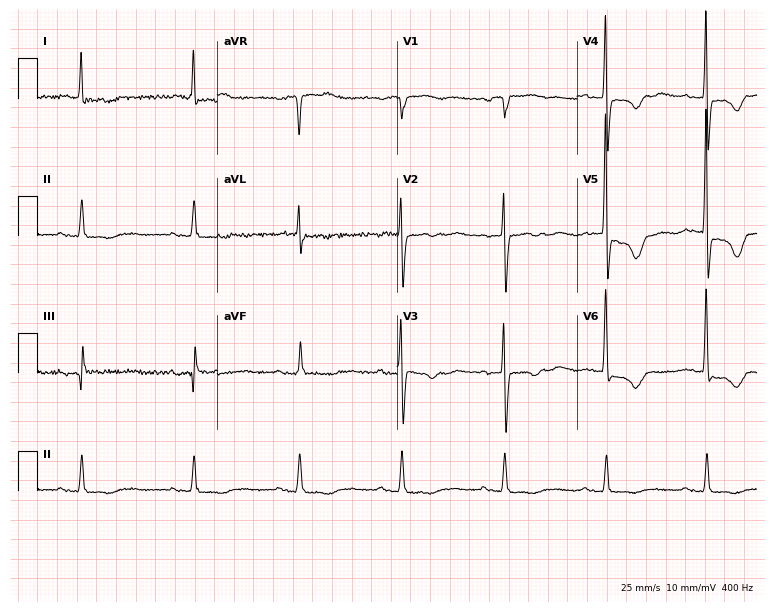
Standard 12-lead ECG recorded from a female, 80 years old (7.3-second recording at 400 Hz). None of these six findings is recorded: first-degree AV block, right bundle branch block, left bundle branch block, sinus bradycardia, atrial fibrillation, sinus tachycardia.